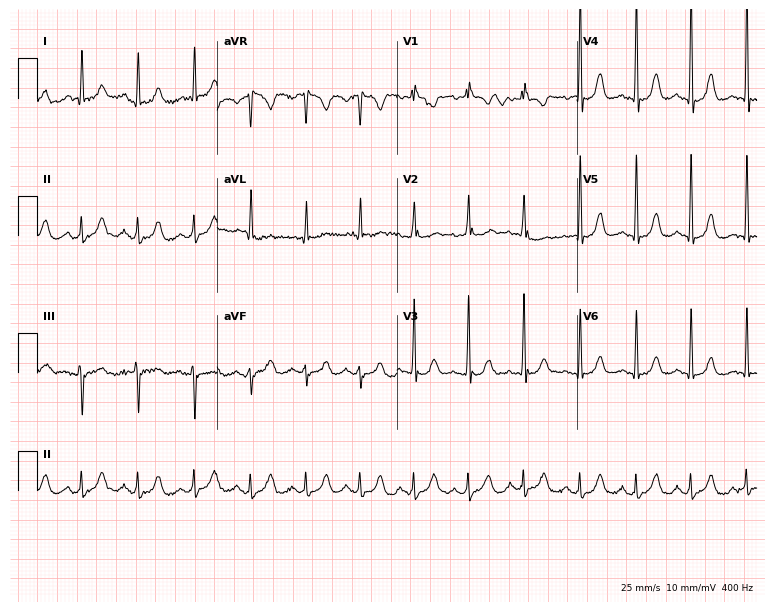
12-lead ECG from an 85-year-old woman. No first-degree AV block, right bundle branch block, left bundle branch block, sinus bradycardia, atrial fibrillation or sinus tachycardia recorded for this tracing.